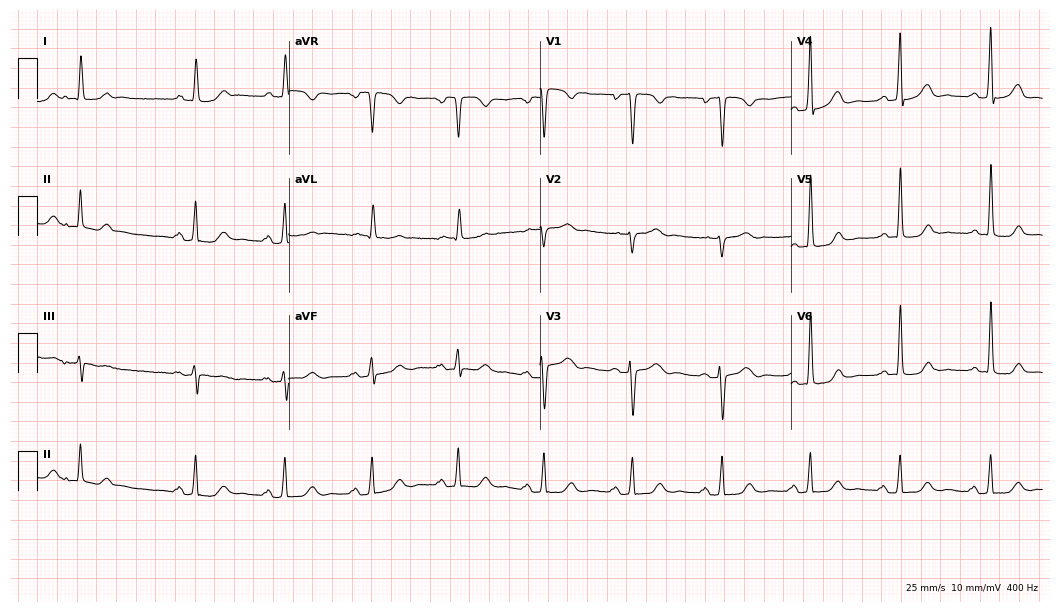
ECG (10.2-second recording at 400 Hz) — a female patient, 68 years old. Screened for six findings — first-degree AV block, right bundle branch block (RBBB), left bundle branch block (LBBB), sinus bradycardia, atrial fibrillation (AF), sinus tachycardia — none is recorded. Other findings, if any, are not listed.